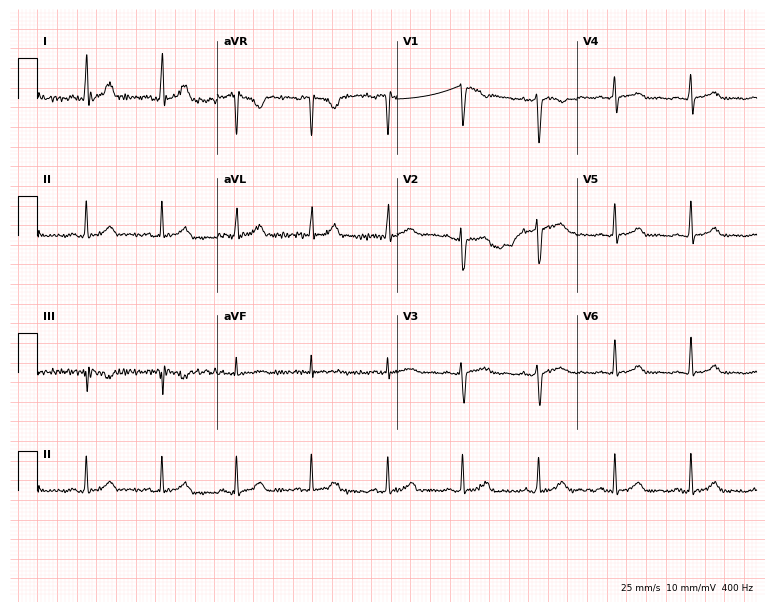
Resting 12-lead electrocardiogram (7.3-second recording at 400 Hz). Patient: a 41-year-old woman. Read as a normal ECG.